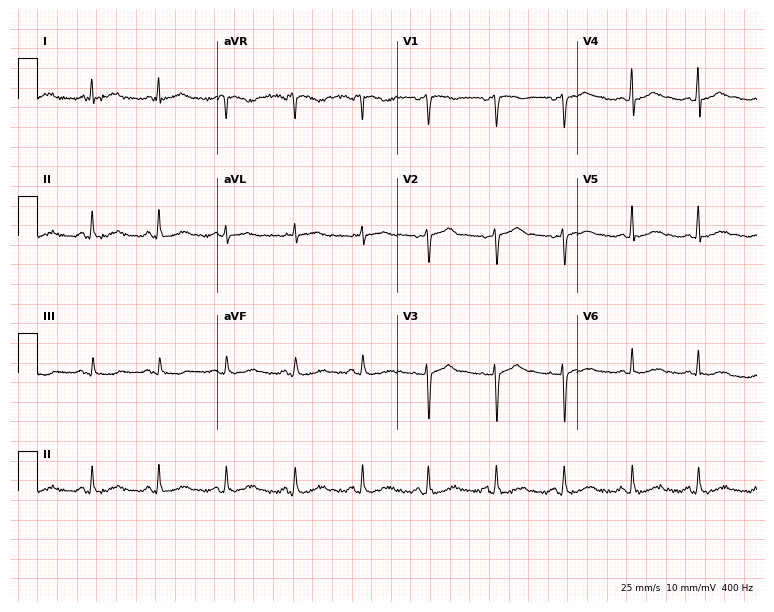
Electrocardiogram, a woman, 52 years old. Overall reading on record: normal ECG.